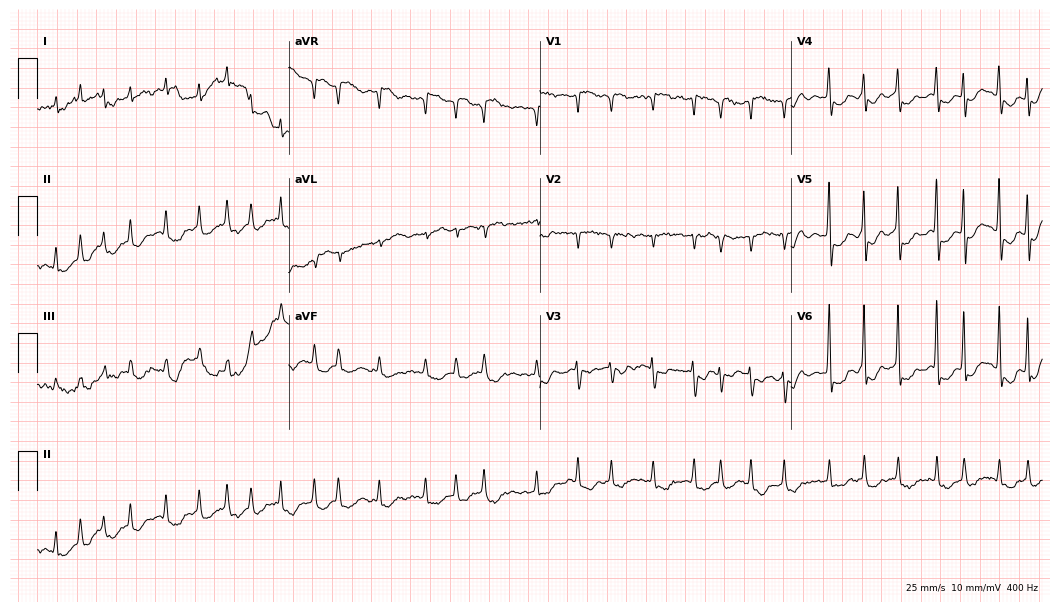
Standard 12-lead ECG recorded from a woman, 68 years old (10.2-second recording at 400 Hz). The tracing shows atrial fibrillation (AF).